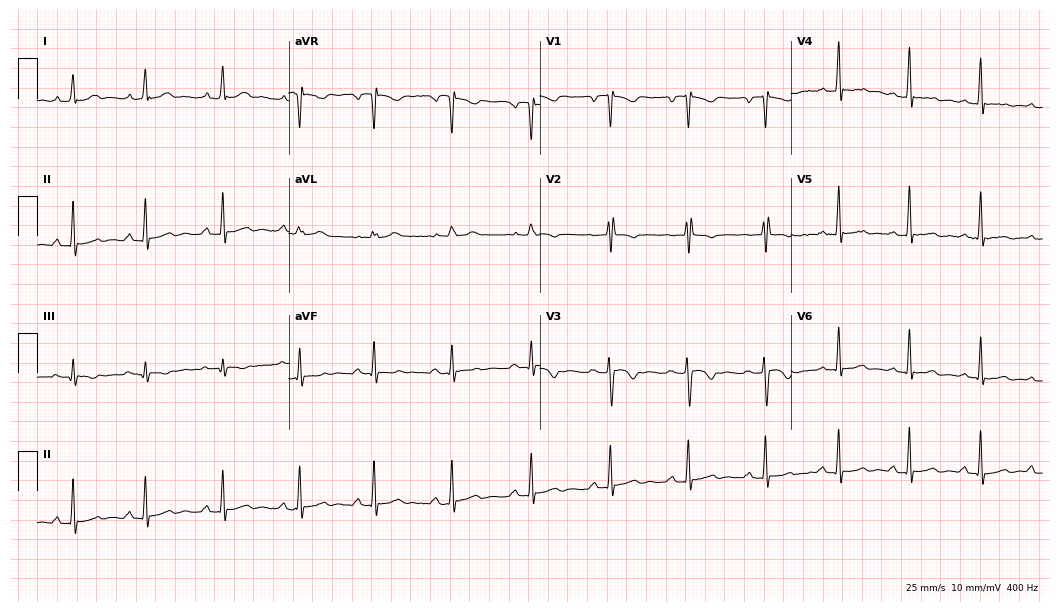
Standard 12-lead ECG recorded from a 21-year-old female (10.2-second recording at 400 Hz). None of these six findings is recorded: first-degree AV block, right bundle branch block, left bundle branch block, sinus bradycardia, atrial fibrillation, sinus tachycardia.